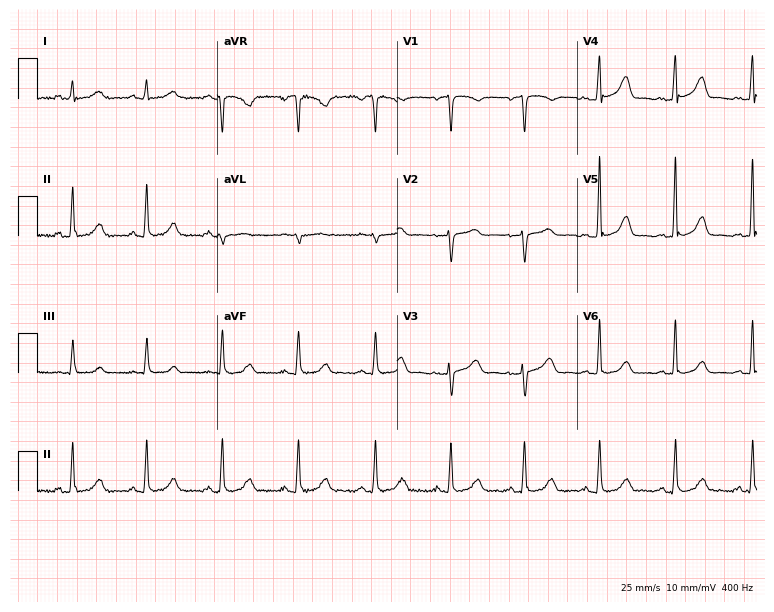
Standard 12-lead ECG recorded from a 59-year-old female (7.3-second recording at 400 Hz). Read as a normal ECG.